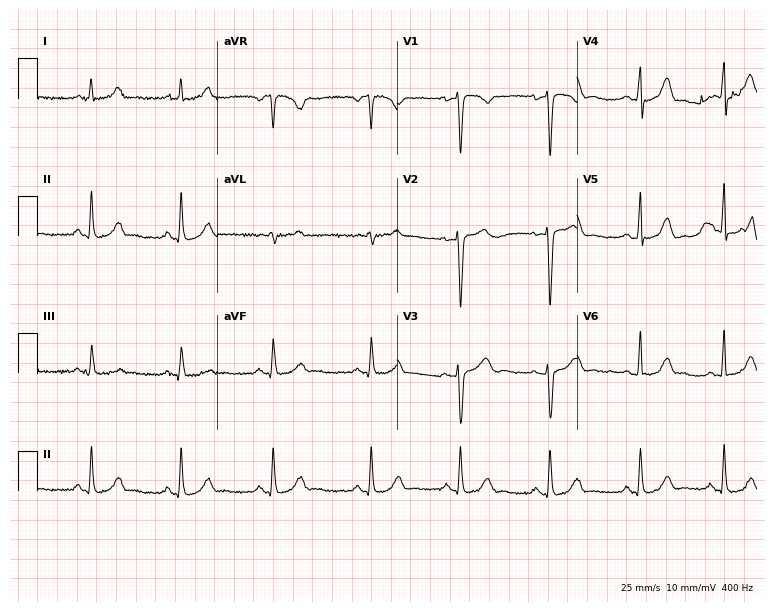
Electrocardiogram (7.3-second recording at 400 Hz), a 34-year-old female patient. Overall reading on record: normal ECG.